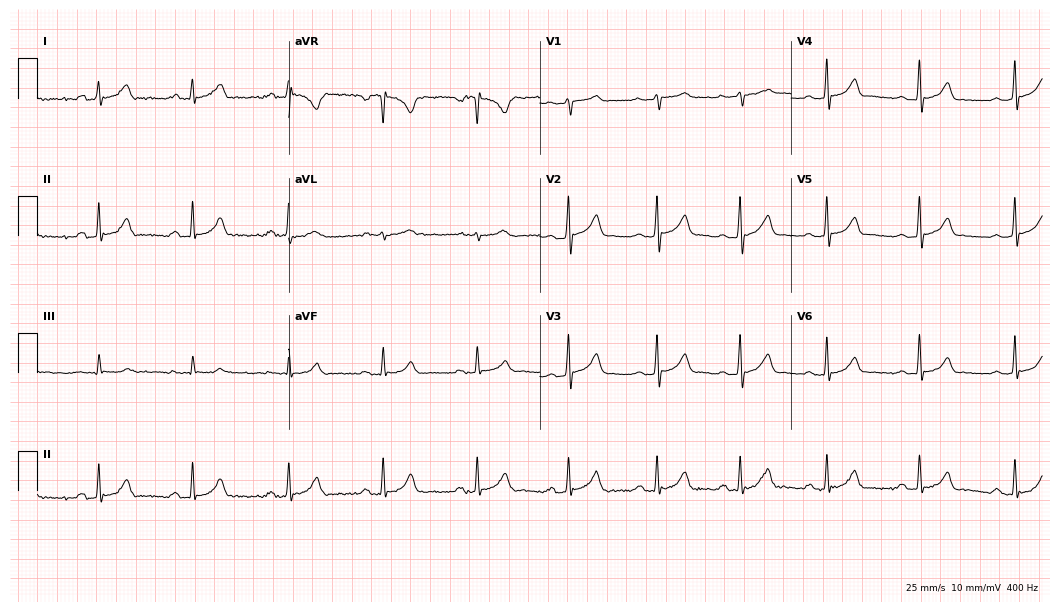
12-lead ECG (10.2-second recording at 400 Hz) from a male patient, 36 years old. Labelled as a normal ECG.